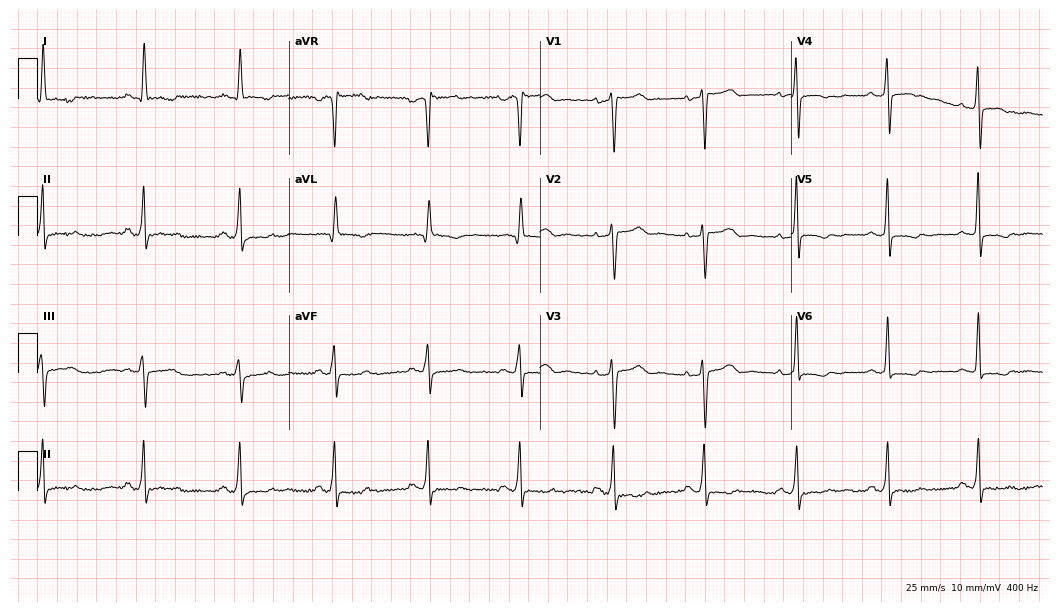
12-lead ECG from a 52-year-old woman (10.2-second recording at 400 Hz). No first-degree AV block, right bundle branch block, left bundle branch block, sinus bradycardia, atrial fibrillation or sinus tachycardia recorded for this tracing. Other findings, if any, are not listed.